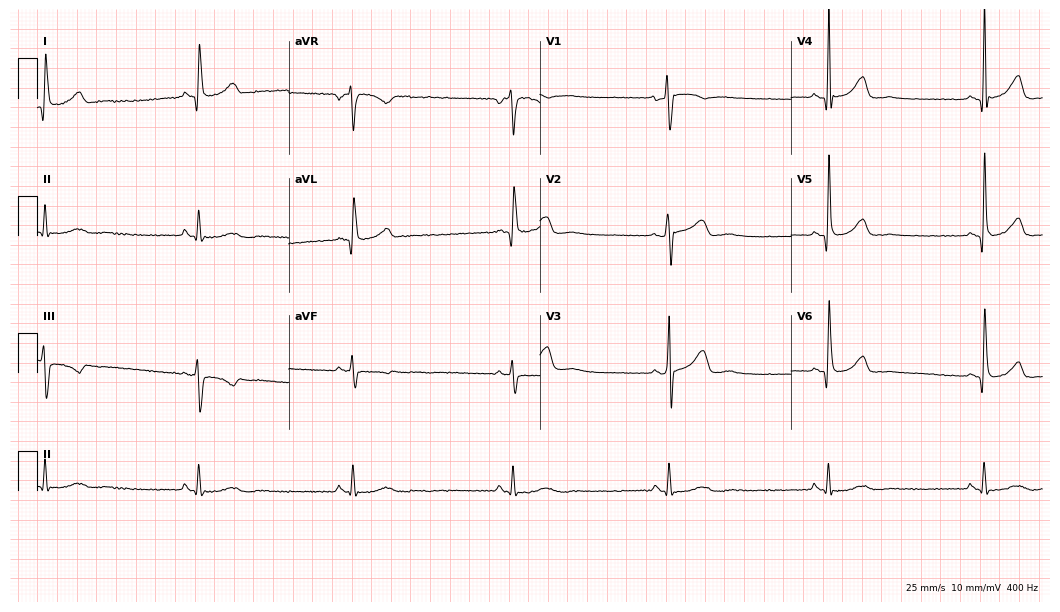
ECG — a male, 49 years old. Findings include sinus bradycardia (a sinus rate of 50 beats per minute or less).